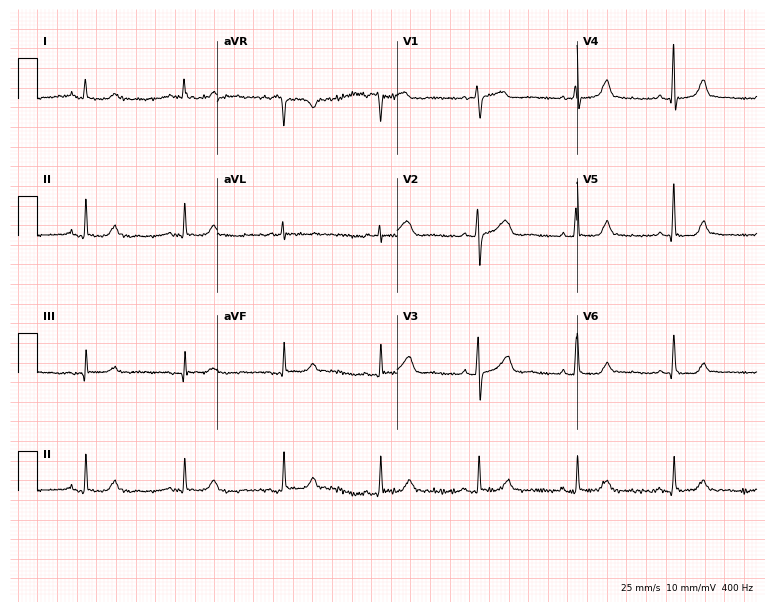
Electrocardiogram, a female, 76 years old. Of the six screened findings (first-degree AV block, right bundle branch block, left bundle branch block, sinus bradycardia, atrial fibrillation, sinus tachycardia), none is recorded. Other findings, if any, are not listed.